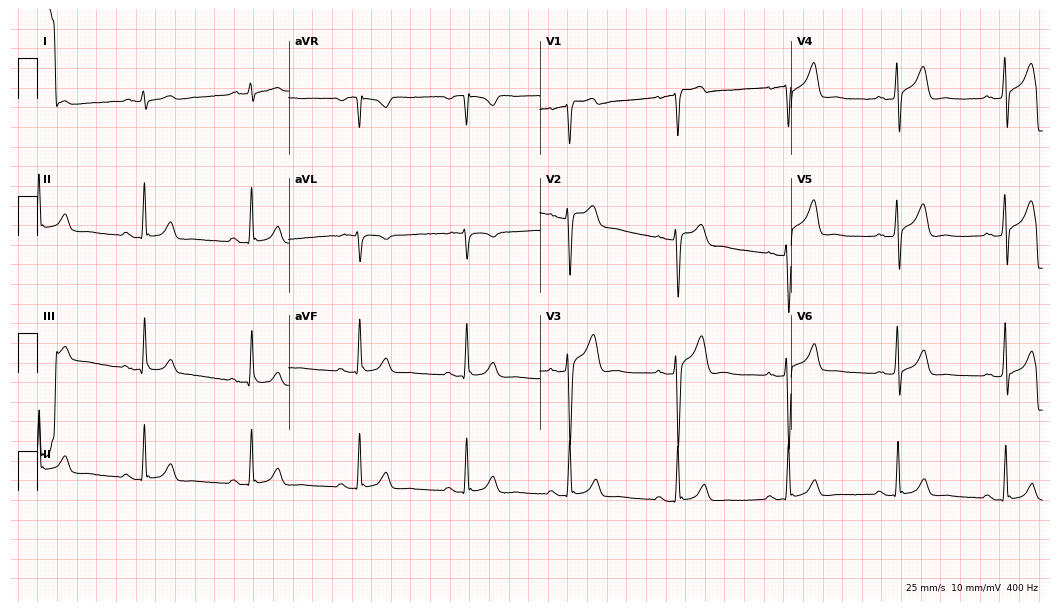
12-lead ECG from a 45-year-old man (10.2-second recording at 400 Hz). No first-degree AV block, right bundle branch block (RBBB), left bundle branch block (LBBB), sinus bradycardia, atrial fibrillation (AF) or sinus tachycardia recorded for this tracing. Findings outside these six are not listed.